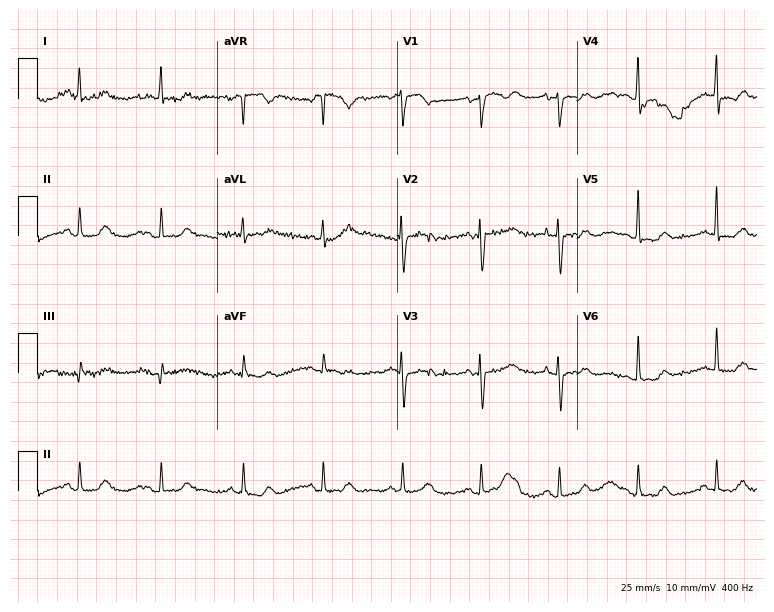
12-lead ECG from a 60-year-old female. No first-degree AV block, right bundle branch block (RBBB), left bundle branch block (LBBB), sinus bradycardia, atrial fibrillation (AF) or sinus tachycardia recorded for this tracing. Findings outside these six are not listed.